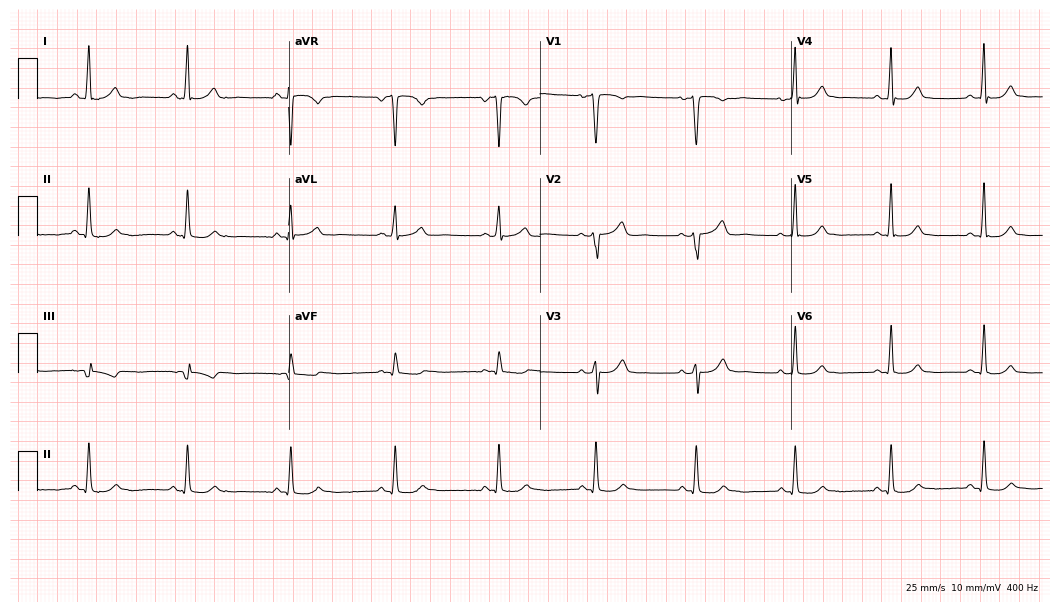
Electrocardiogram (10.2-second recording at 400 Hz), a female patient, 34 years old. Overall reading on record: normal ECG.